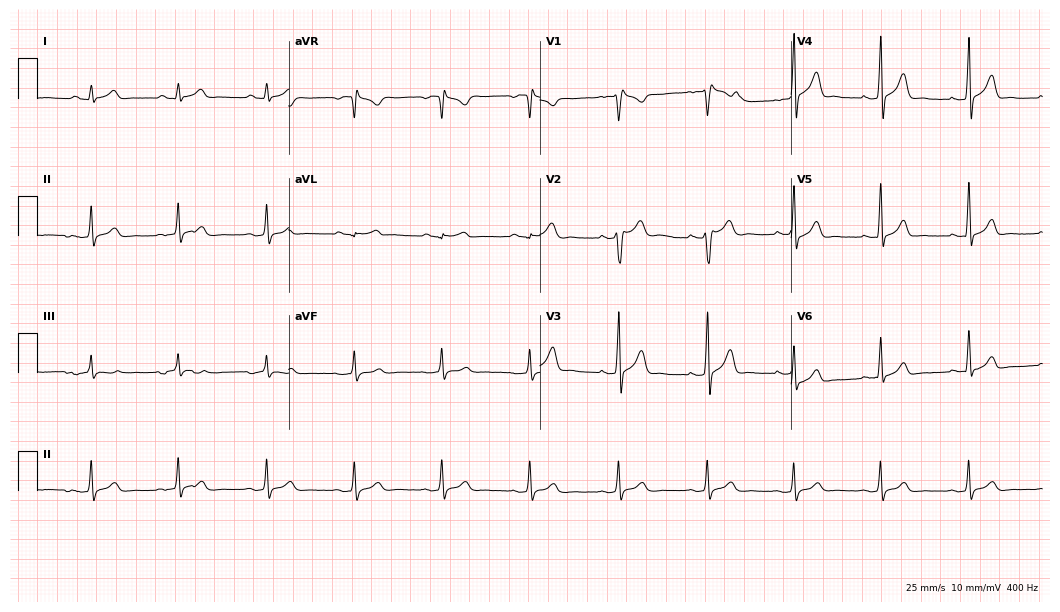
12-lead ECG (10.2-second recording at 400 Hz) from a 37-year-old male. Labelled as a normal ECG.